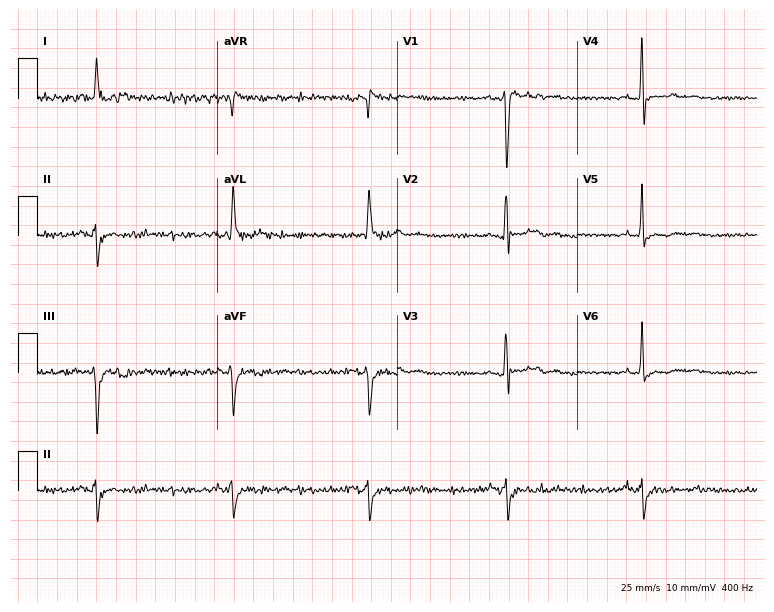
Standard 12-lead ECG recorded from a 64-year-old male patient. None of these six findings is recorded: first-degree AV block, right bundle branch block, left bundle branch block, sinus bradycardia, atrial fibrillation, sinus tachycardia. Other findings, if any, are not listed.